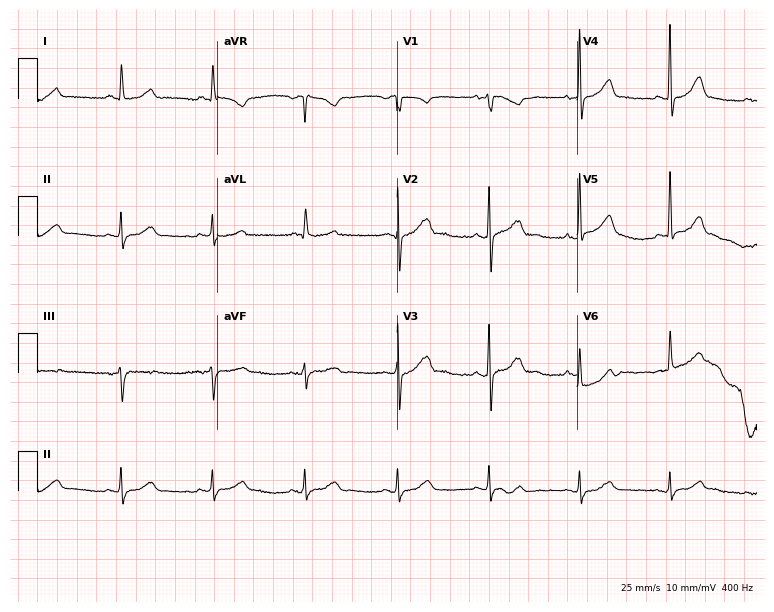
ECG — a man, 79 years old. Labelled as a normal ECG.